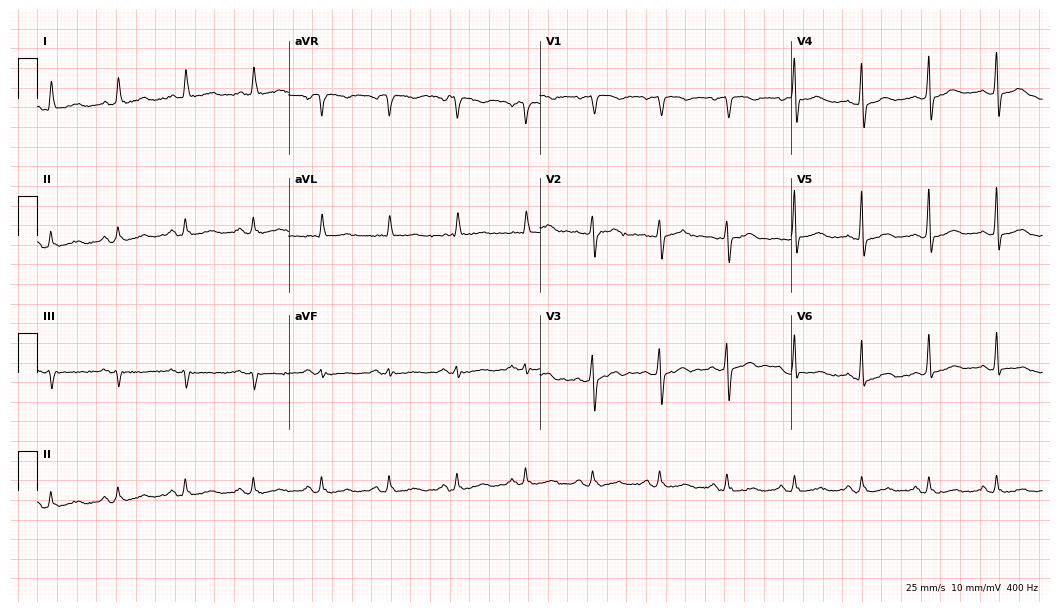
12-lead ECG from a female, 58 years old. No first-degree AV block, right bundle branch block (RBBB), left bundle branch block (LBBB), sinus bradycardia, atrial fibrillation (AF) or sinus tachycardia recorded for this tracing. Only these six findings were labelled.